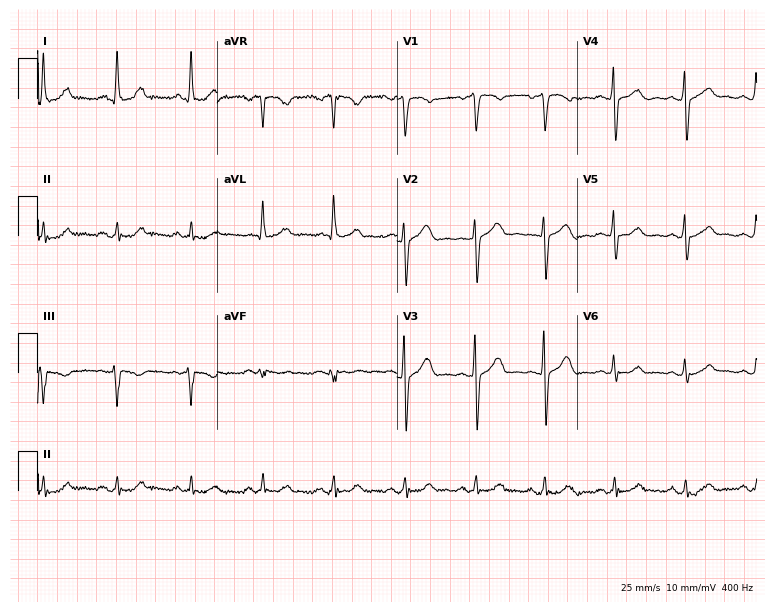
Resting 12-lead electrocardiogram. Patient: a 40-year-old female. Read as a normal ECG.